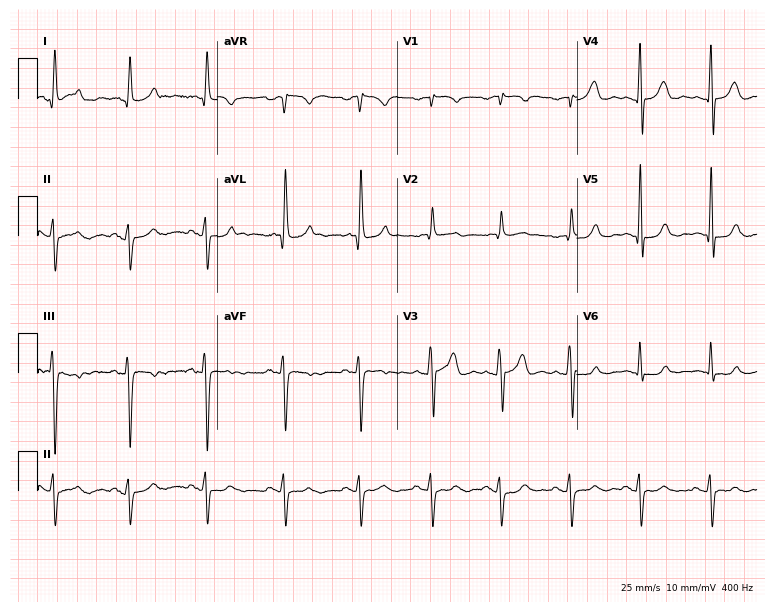
Standard 12-lead ECG recorded from a man, 70 years old. None of these six findings is recorded: first-degree AV block, right bundle branch block (RBBB), left bundle branch block (LBBB), sinus bradycardia, atrial fibrillation (AF), sinus tachycardia.